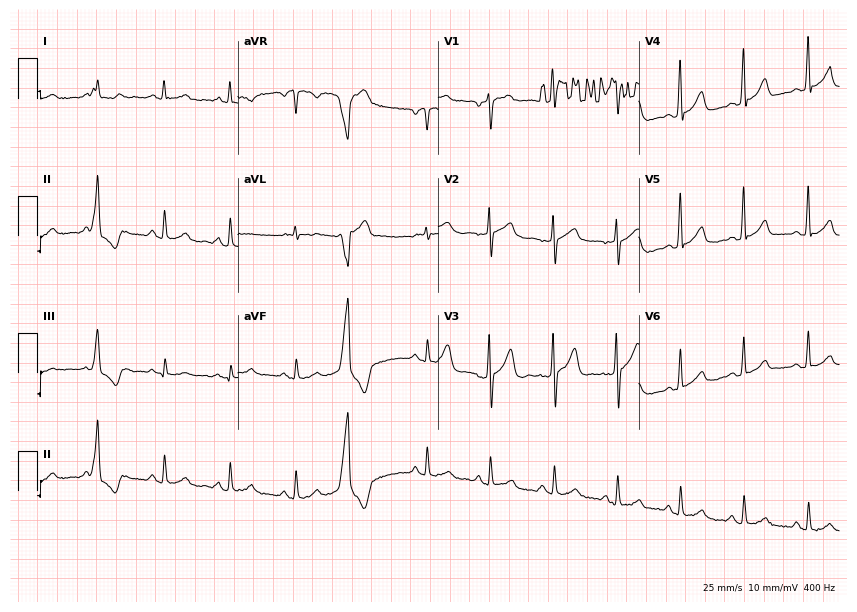
12-lead ECG from a man, 71 years old (8.2-second recording at 400 Hz). No first-degree AV block, right bundle branch block, left bundle branch block, sinus bradycardia, atrial fibrillation or sinus tachycardia recorded for this tracing. Findings outside these six are not listed.